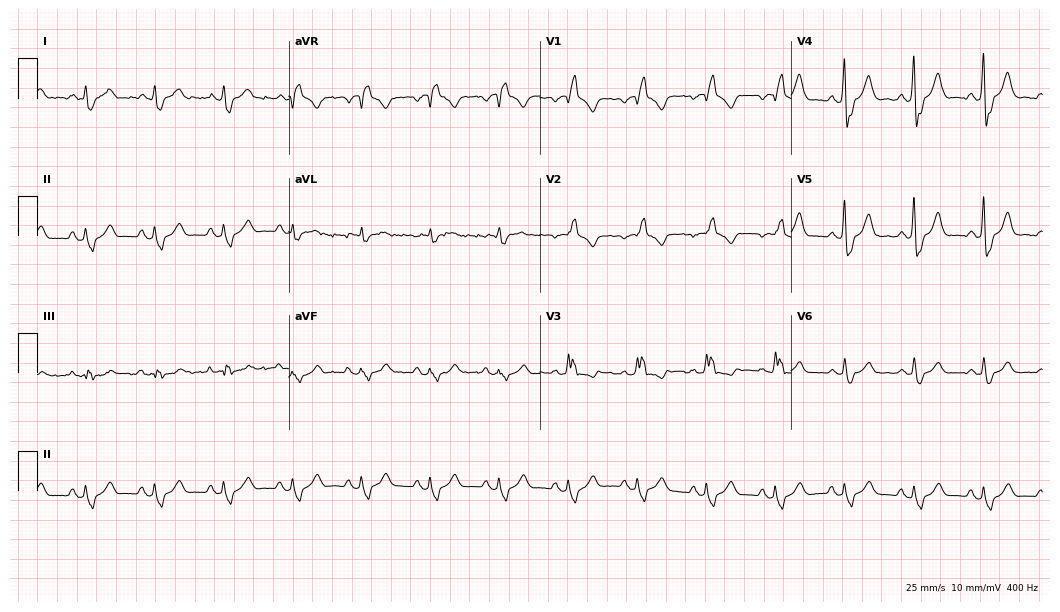
12-lead ECG from a male patient, 65 years old. Shows right bundle branch block.